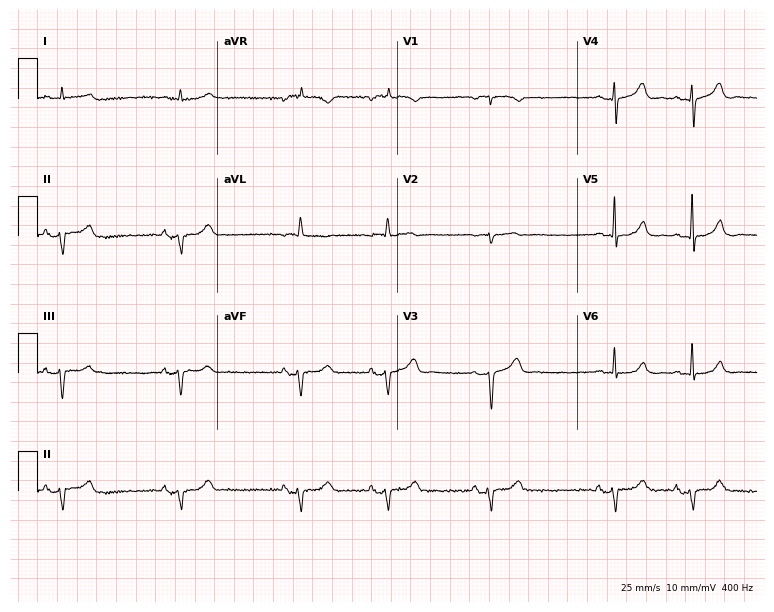
ECG (7.3-second recording at 400 Hz) — a male patient, 83 years old. Screened for six findings — first-degree AV block, right bundle branch block (RBBB), left bundle branch block (LBBB), sinus bradycardia, atrial fibrillation (AF), sinus tachycardia — none is recorded. Findings outside these six are not listed.